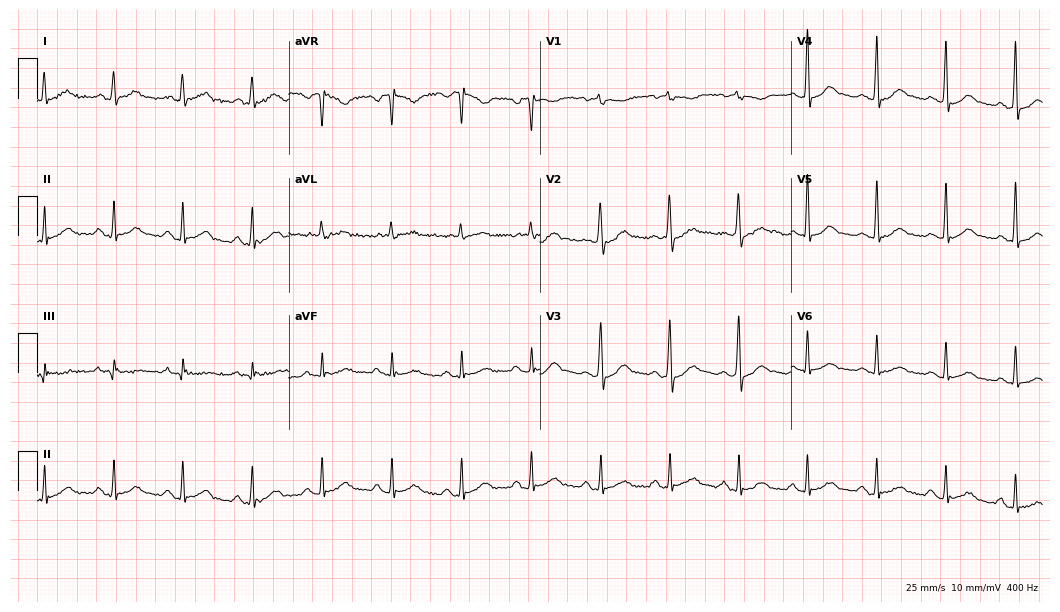
12-lead ECG from a man, 59 years old. Labelled as a normal ECG.